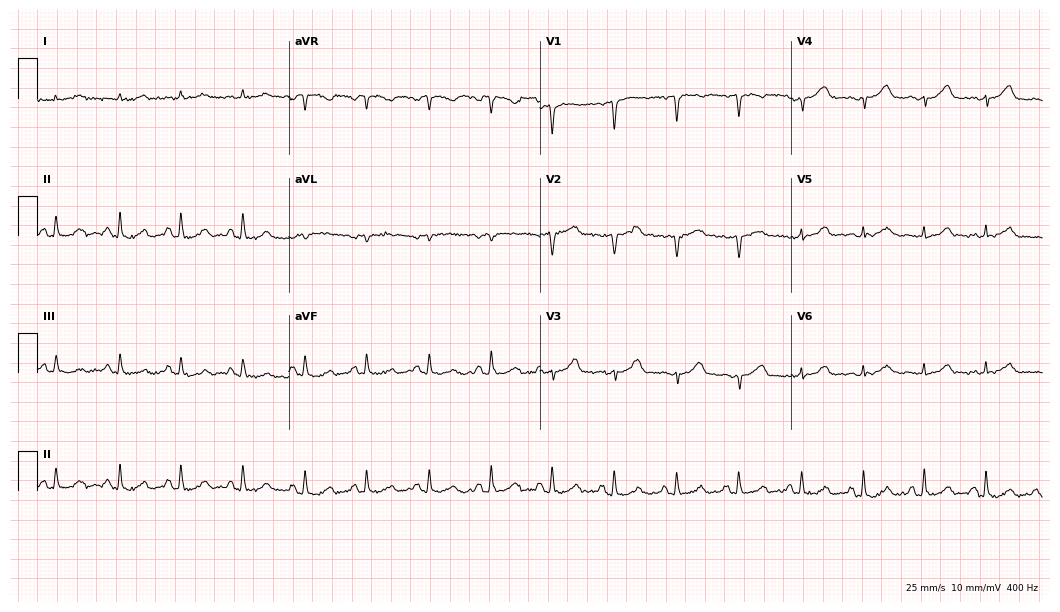
Standard 12-lead ECG recorded from a man, 71 years old. None of these six findings is recorded: first-degree AV block, right bundle branch block (RBBB), left bundle branch block (LBBB), sinus bradycardia, atrial fibrillation (AF), sinus tachycardia.